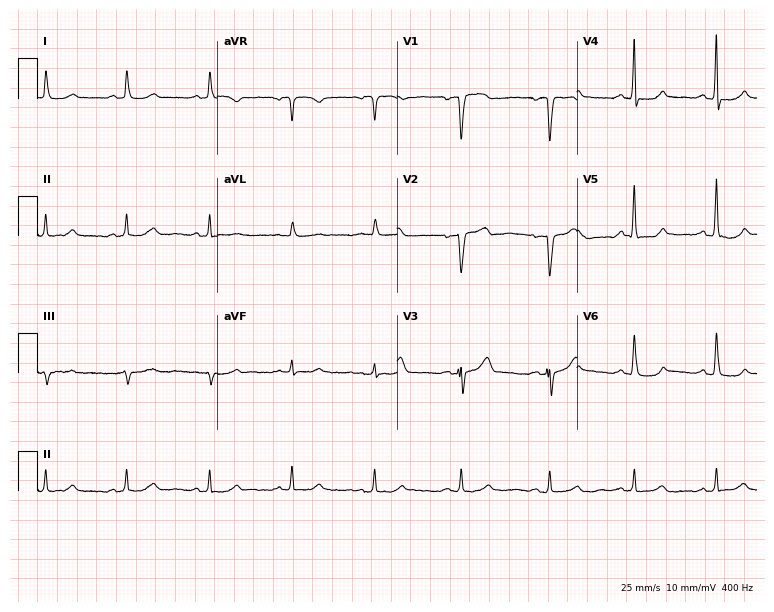
12-lead ECG from a 68-year-old female patient. Recorded interpretation: within normal limits.